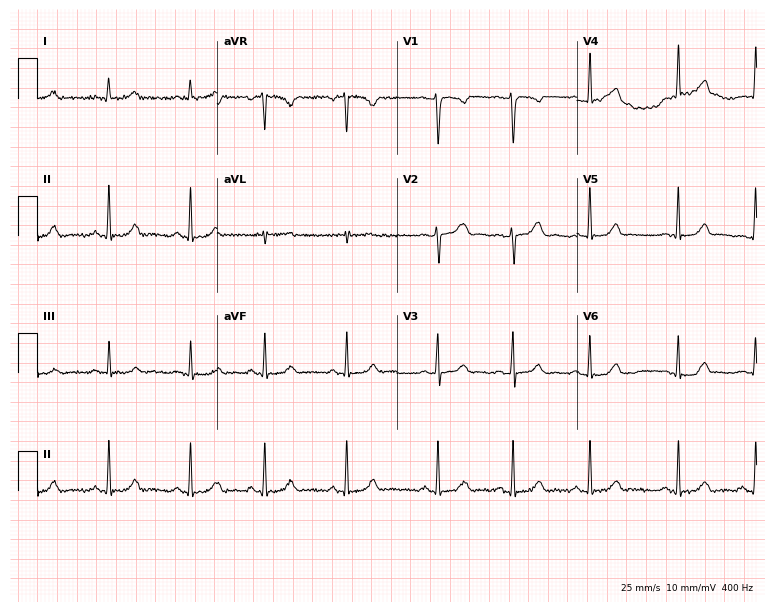
Resting 12-lead electrocardiogram (7.3-second recording at 400 Hz). Patient: an 18-year-old female. Read as a normal ECG.